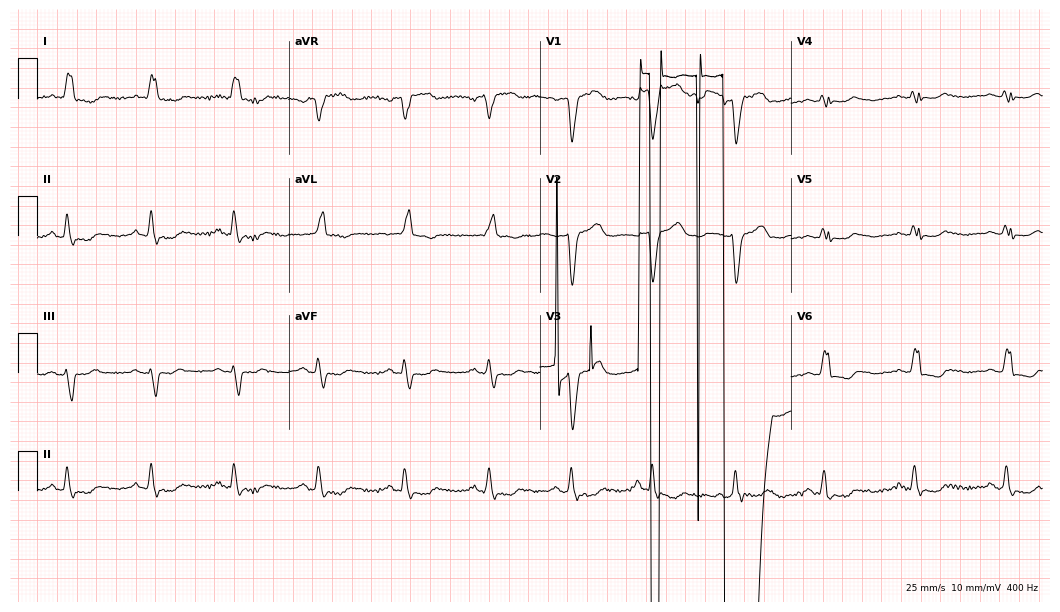
Electrocardiogram, an 83-year-old woman. Of the six screened findings (first-degree AV block, right bundle branch block, left bundle branch block, sinus bradycardia, atrial fibrillation, sinus tachycardia), none is recorded.